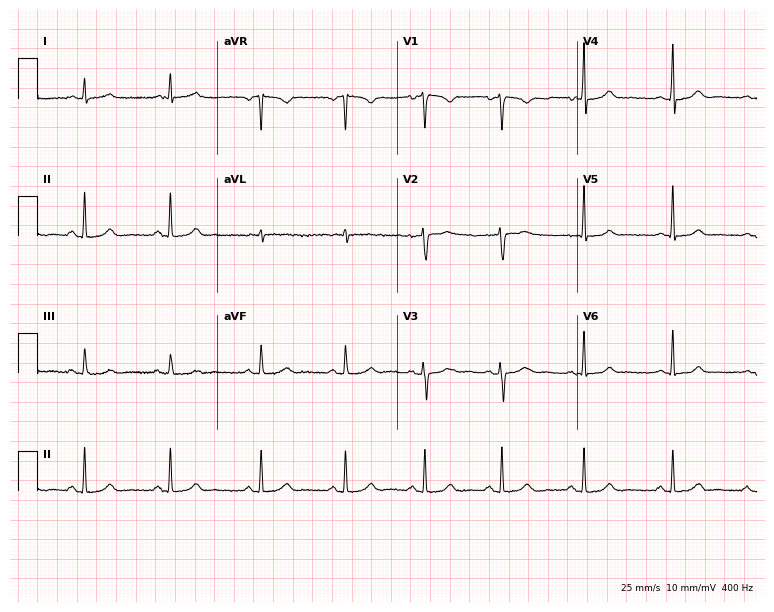
Electrocardiogram, a 27-year-old woman. Overall reading on record: normal ECG.